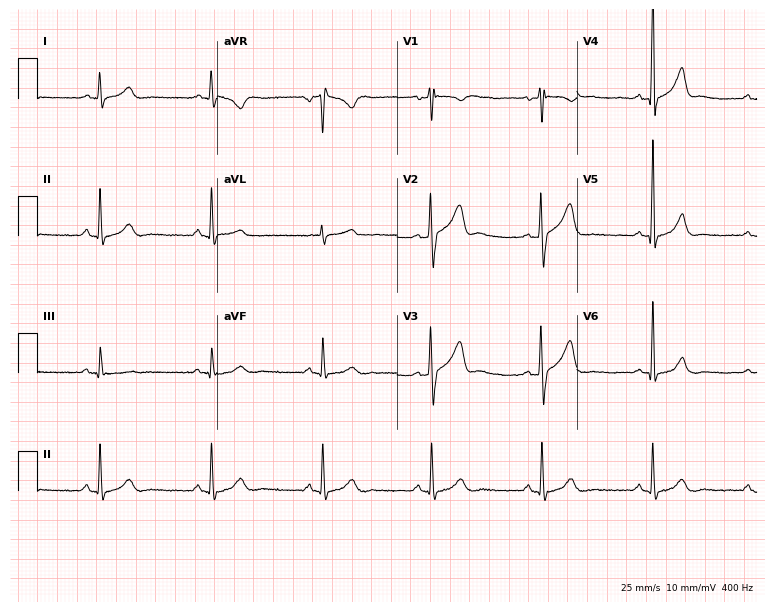
12-lead ECG (7.3-second recording at 400 Hz) from a 34-year-old male. Labelled as a normal ECG.